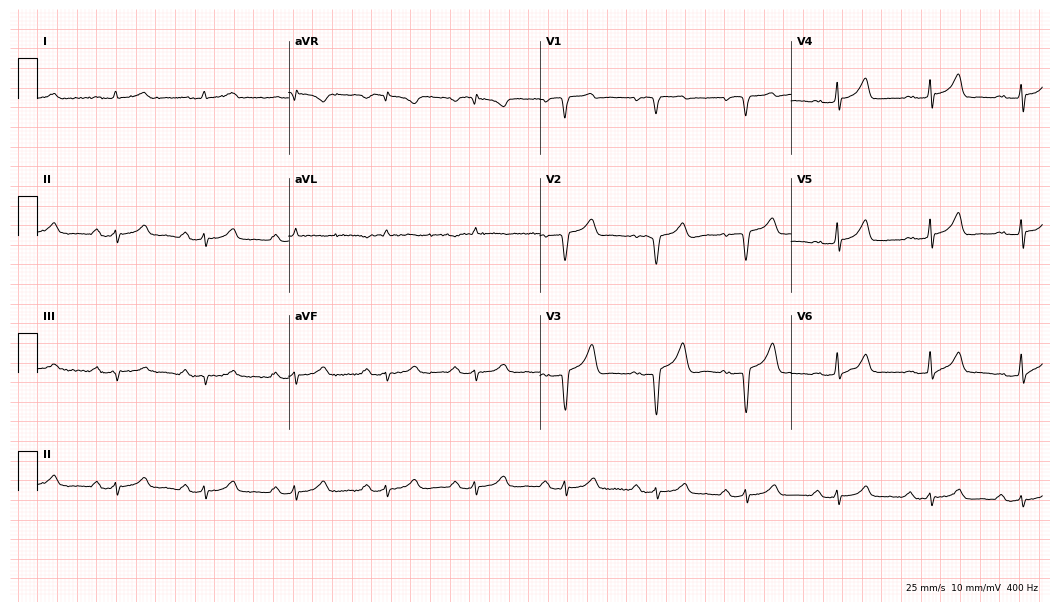
Electrocardiogram, an 82-year-old man. Of the six screened findings (first-degree AV block, right bundle branch block, left bundle branch block, sinus bradycardia, atrial fibrillation, sinus tachycardia), none is recorded. Other findings, if any, are not listed.